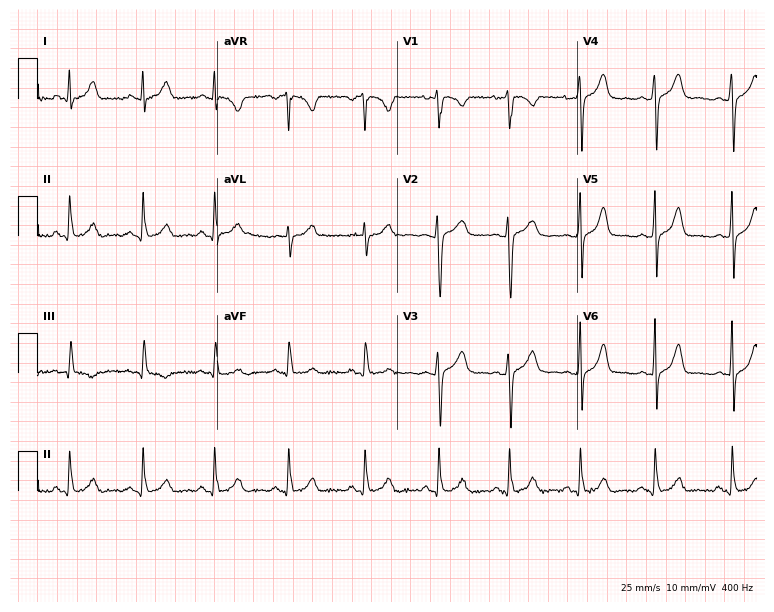
Resting 12-lead electrocardiogram. Patient: a female, 26 years old. None of these six findings is recorded: first-degree AV block, right bundle branch block, left bundle branch block, sinus bradycardia, atrial fibrillation, sinus tachycardia. Other findings, if any, are not listed.